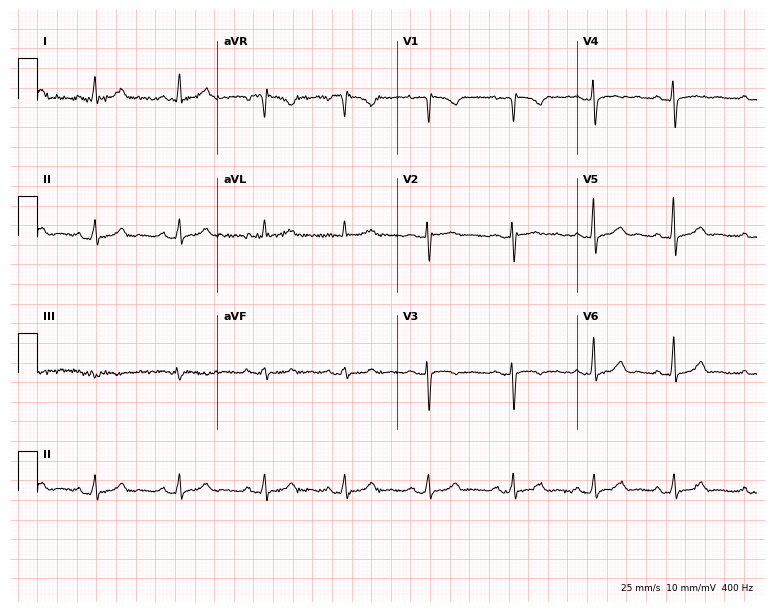
Resting 12-lead electrocardiogram. Patient: a female, 35 years old. Read as a normal ECG.